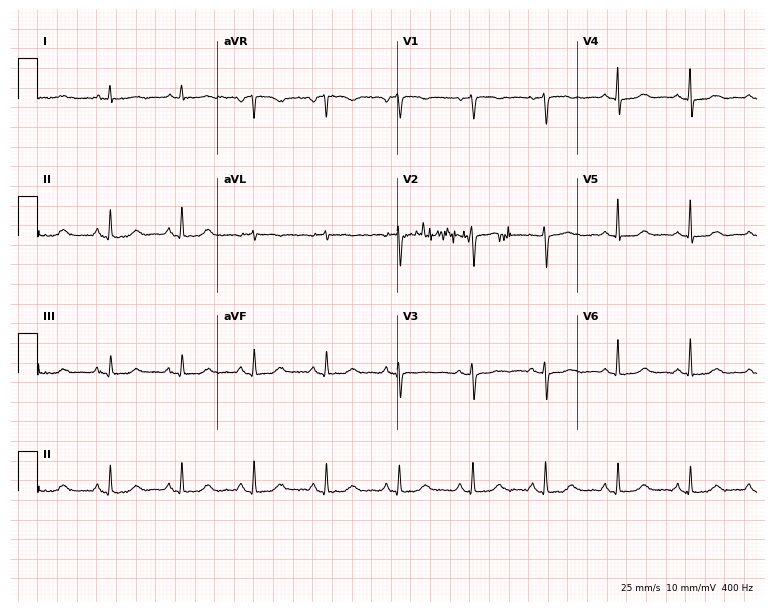
Standard 12-lead ECG recorded from an 84-year-old female. Read as a normal ECG.